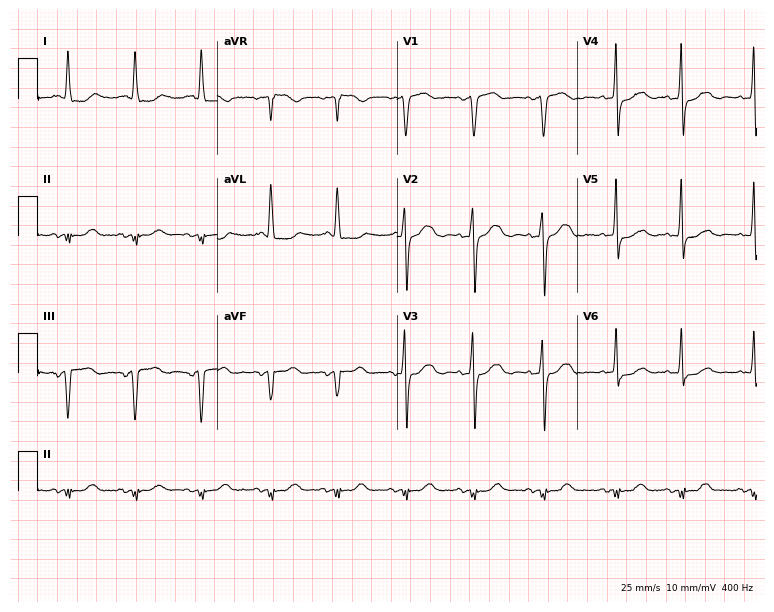
Electrocardiogram (7.3-second recording at 400 Hz), a female, 62 years old. Of the six screened findings (first-degree AV block, right bundle branch block (RBBB), left bundle branch block (LBBB), sinus bradycardia, atrial fibrillation (AF), sinus tachycardia), none is recorded.